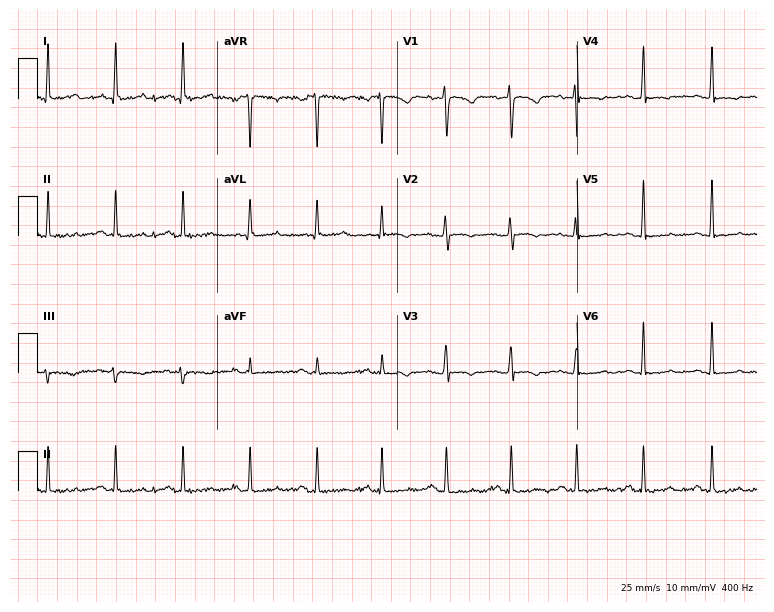
Resting 12-lead electrocardiogram. Patient: a 35-year-old woman. Read as a normal ECG.